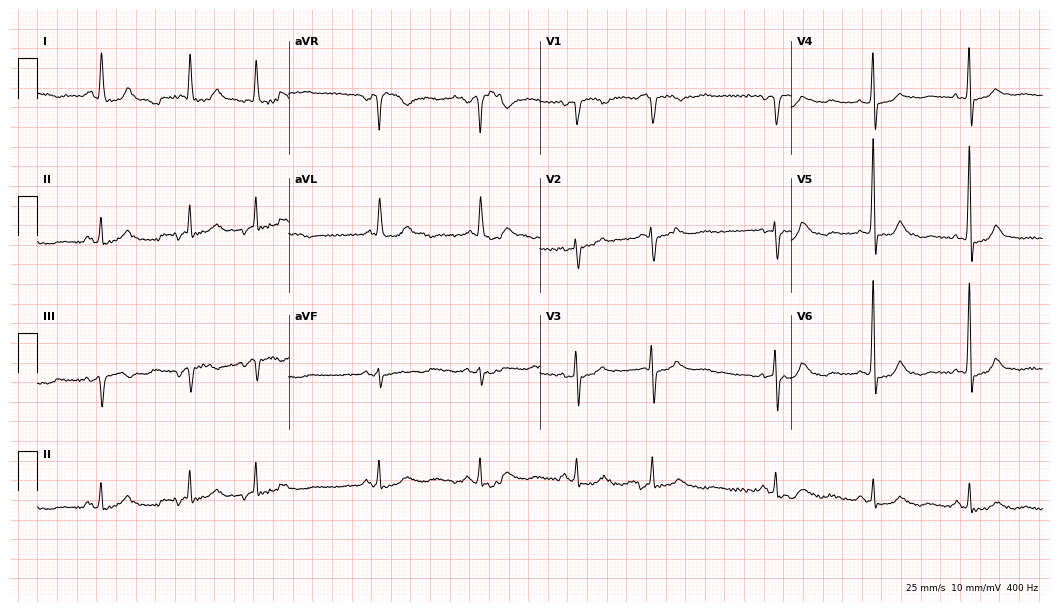
Standard 12-lead ECG recorded from a 76-year-old woman (10.2-second recording at 400 Hz). None of these six findings is recorded: first-degree AV block, right bundle branch block, left bundle branch block, sinus bradycardia, atrial fibrillation, sinus tachycardia.